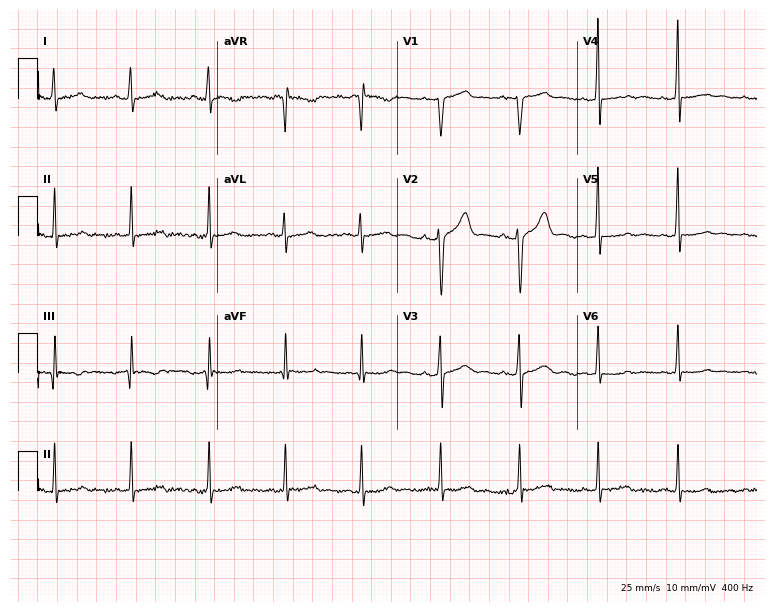
Electrocardiogram (7.3-second recording at 400 Hz), a female, 20 years old. Of the six screened findings (first-degree AV block, right bundle branch block, left bundle branch block, sinus bradycardia, atrial fibrillation, sinus tachycardia), none is recorded.